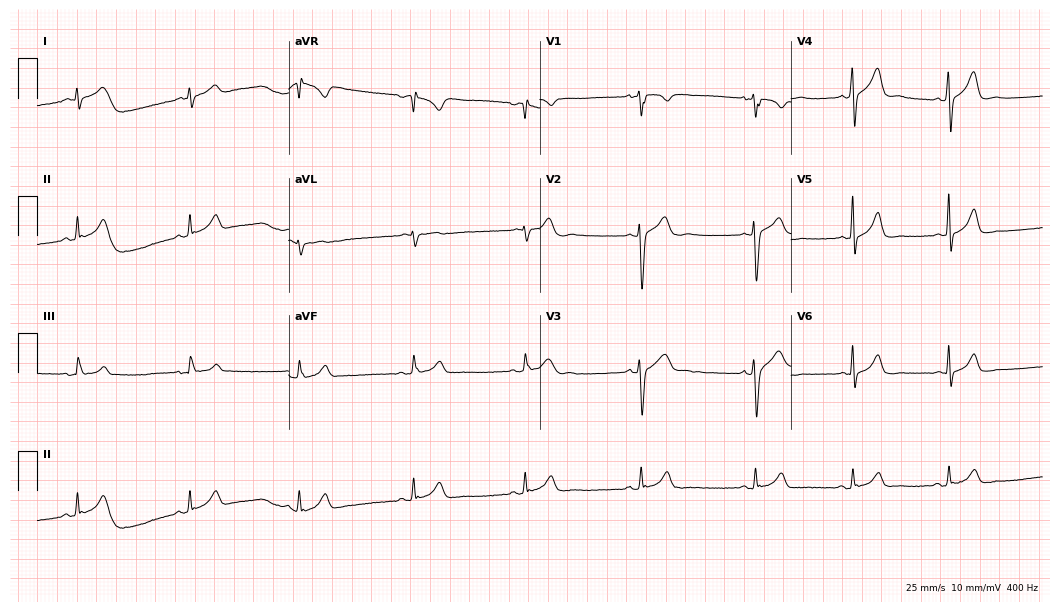
12-lead ECG from a male, 18 years old. No first-degree AV block, right bundle branch block (RBBB), left bundle branch block (LBBB), sinus bradycardia, atrial fibrillation (AF) or sinus tachycardia recorded for this tracing. Findings outside these six are not listed.